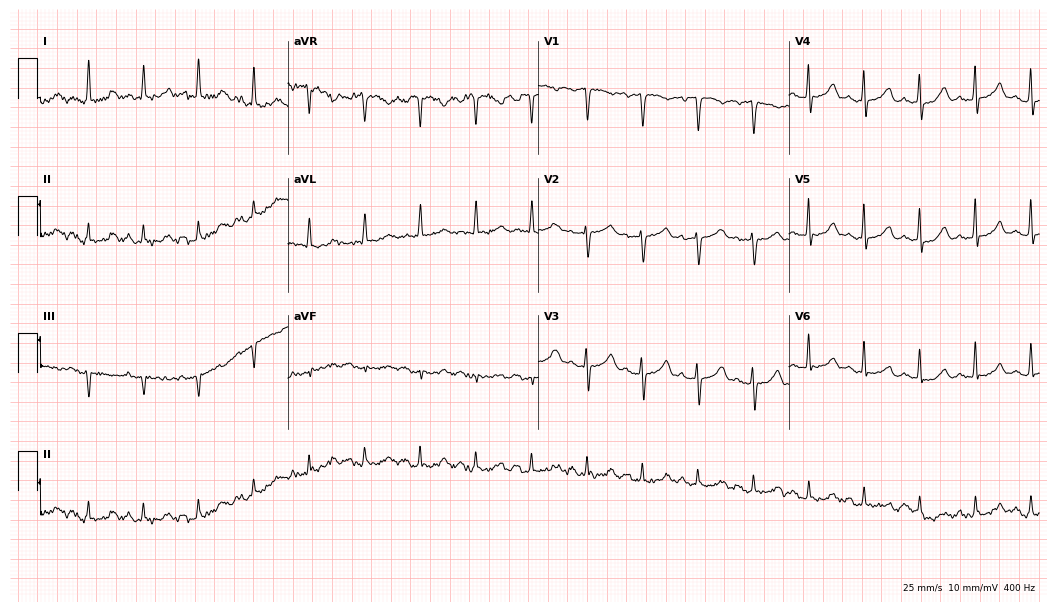
Standard 12-lead ECG recorded from a female, 52 years old. None of these six findings is recorded: first-degree AV block, right bundle branch block, left bundle branch block, sinus bradycardia, atrial fibrillation, sinus tachycardia. Only these six findings were labelled.